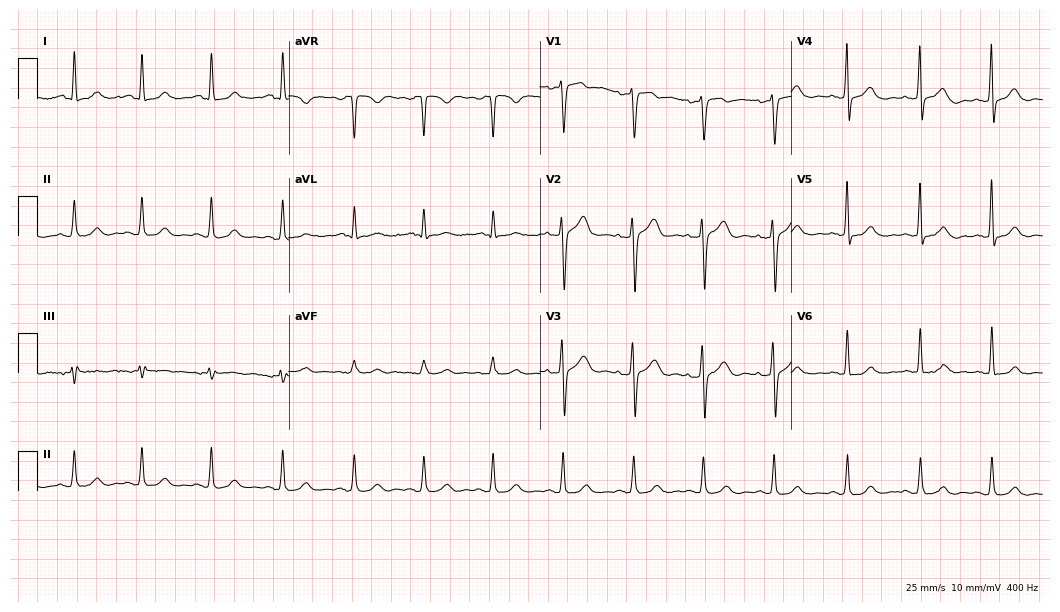
Electrocardiogram (10.2-second recording at 400 Hz), a male, 52 years old. Overall reading on record: normal ECG.